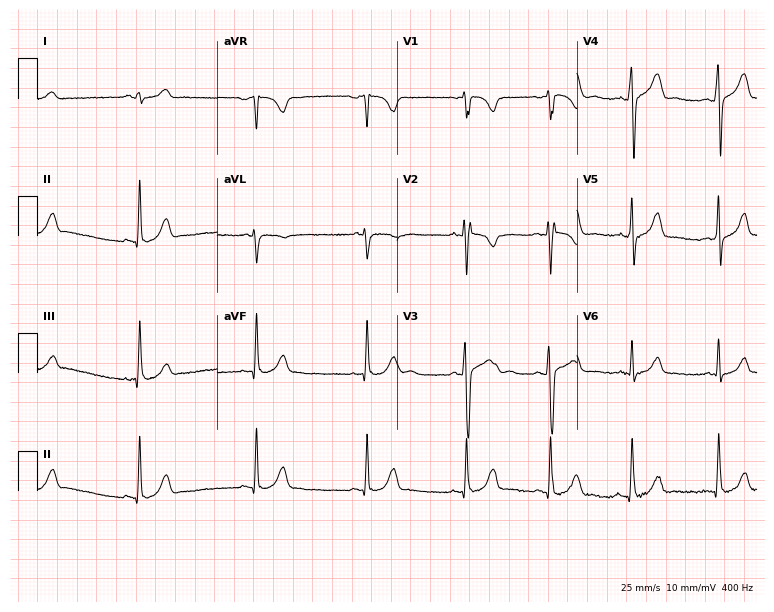
ECG (7.3-second recording at 400 Hz) — a 17-year-old male patient. Labelled as a normal ECG.